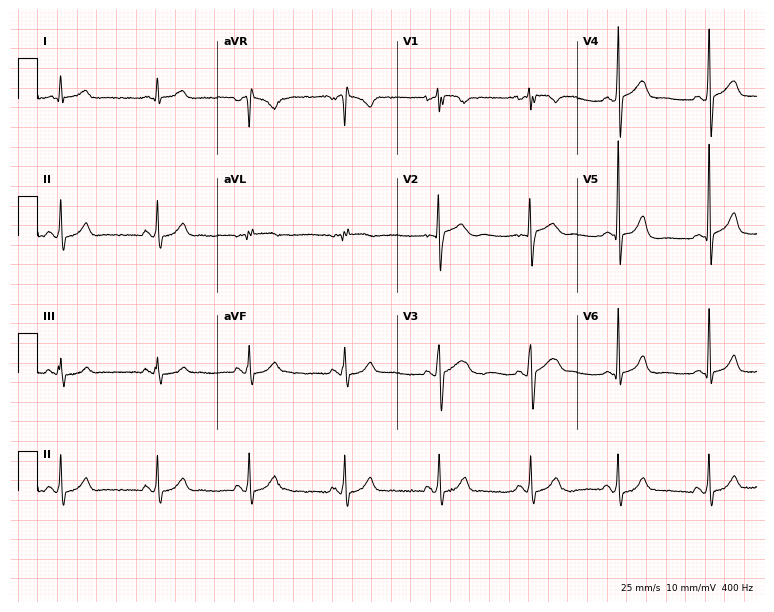
12-lead ECG (7.3-second recording at 400 Hz) from a 21-year-old man. Labelled as a normal ECG.